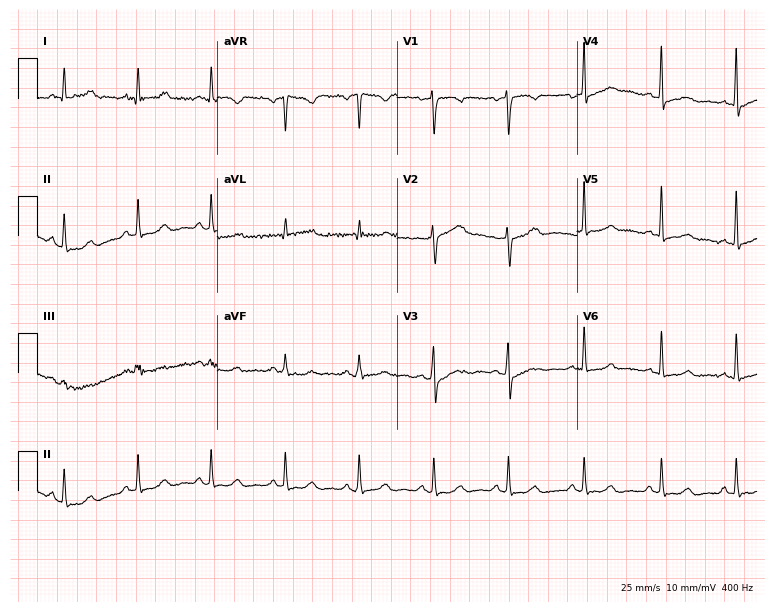
Standard 12-lead ECG recorded from a woman, 54 years old (7.3-second recording at 400 Hz). Read as a normal ECG.